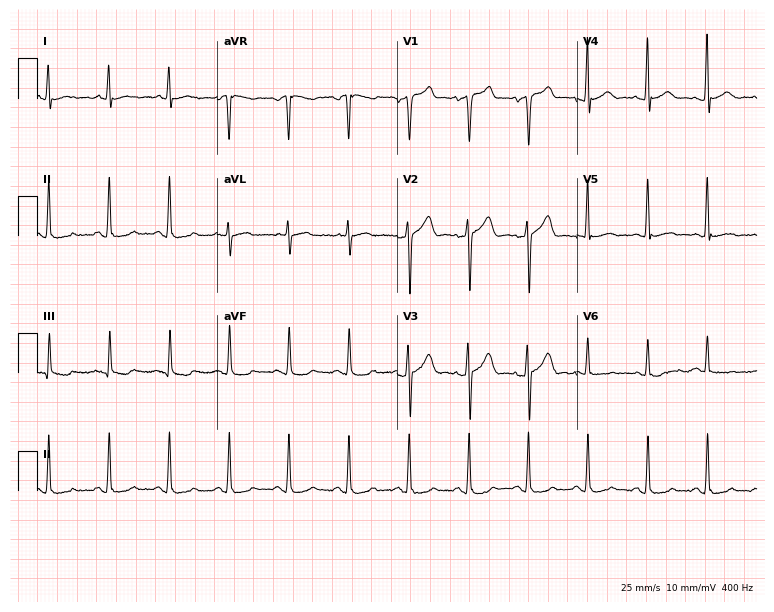
Resting 12-lead electrocardiogram. Patient: a man, 61 years old. Read as a normal ECG.